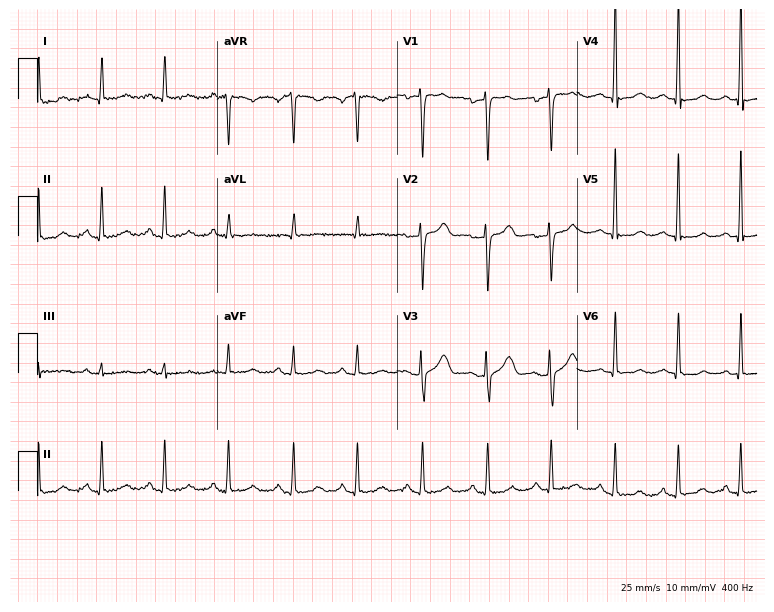
Resting 12-lead electrocardiogram (7.3-second recording at 400 Hz). Patient: a female, 33 years old. None of these six findings is recorded: first-degree AV block, right bundle branch block (RBBB), left bundle branch block (LBBB), sinus bradycardia, atrial fibrillation (AF), sinus tachycardia.